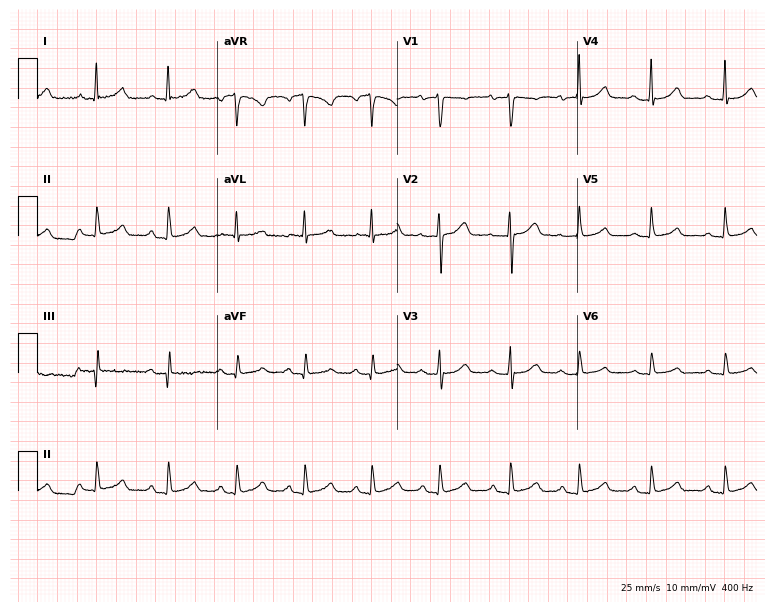
12-lead ECG from a female, 65 years old. Recorded interpretation: within normal limits.